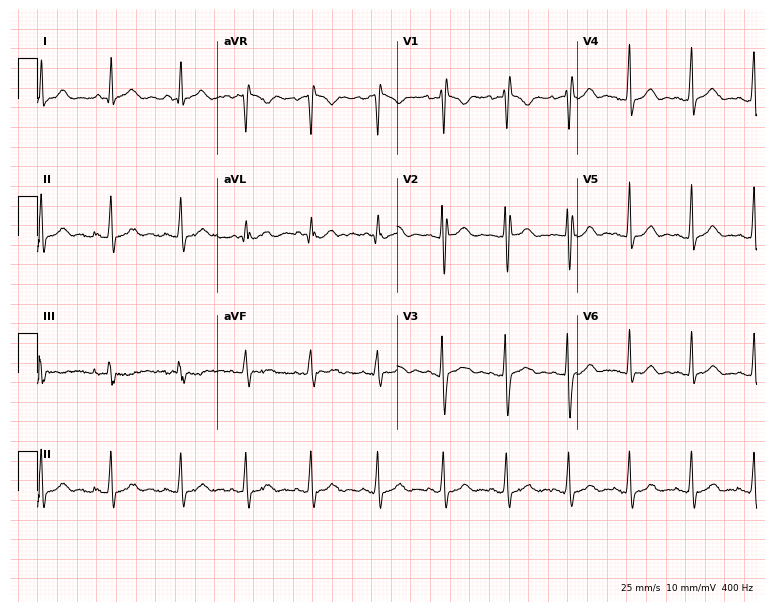
ECG — an 18-year-old woman. Screened for six findings — first-degree AV block, right bundle branch block, left bundle branch block, sinus bradycardia, atrial fibrillation, sinus tachycardia — none is recorded. Only these six findings were labelled.